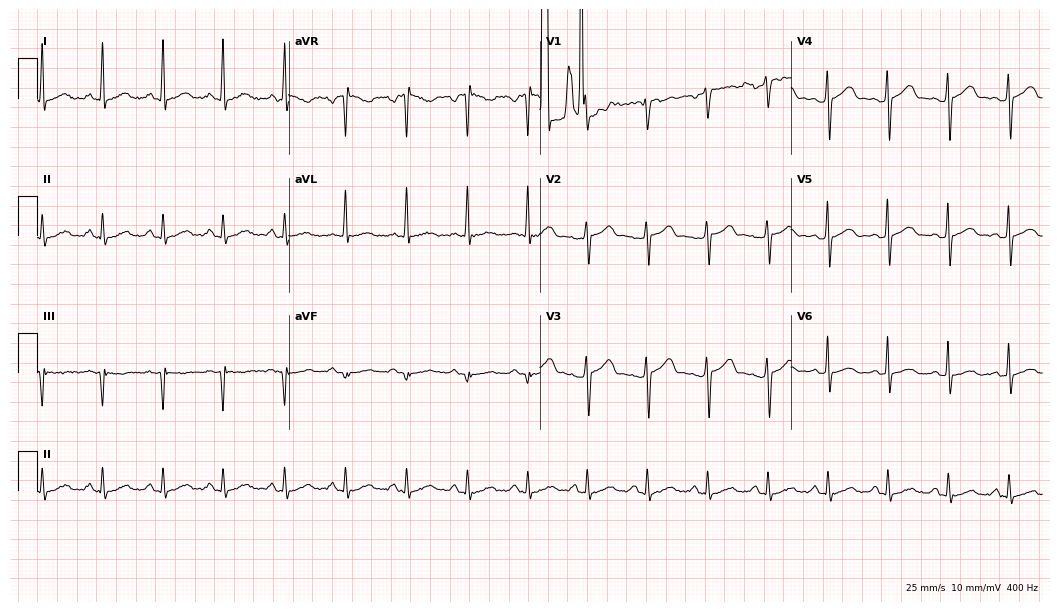
Electrocardiogram (10.2-second recording at 400 Hz), a 40-year-old female. Overall reading on record: normal ECG.